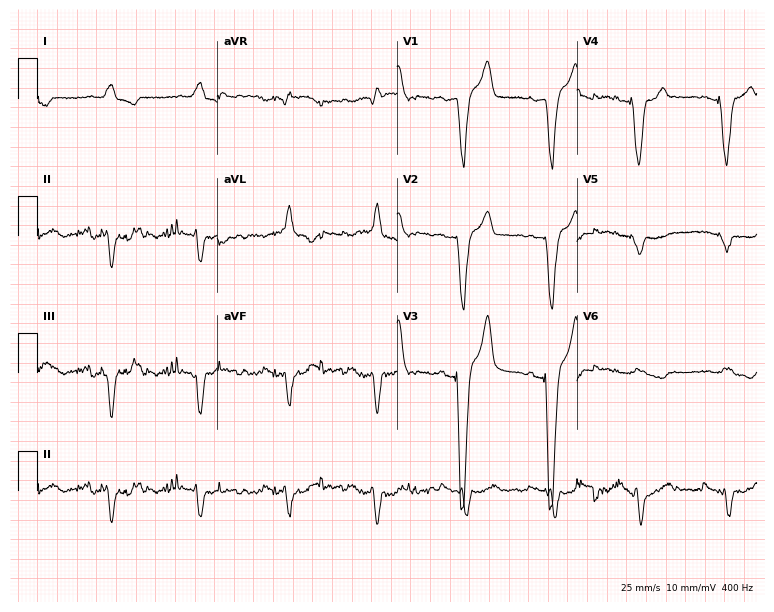
12-lead ECG from a 41-year-old male. Screened for six findings — first-degree AV block, right bundle branch block, left bundle branch block, sinus bradycardia, atrial fibrillation, sinus tachycardia — none is recorded.